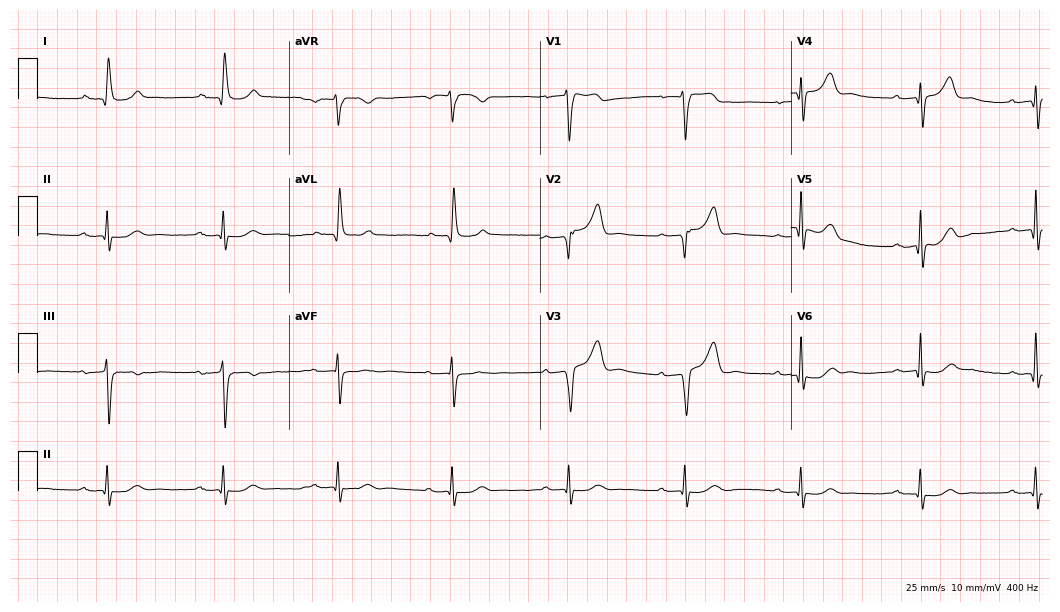
12-lead ECG from a 67-year-old man. Findings include first-degree AV block.